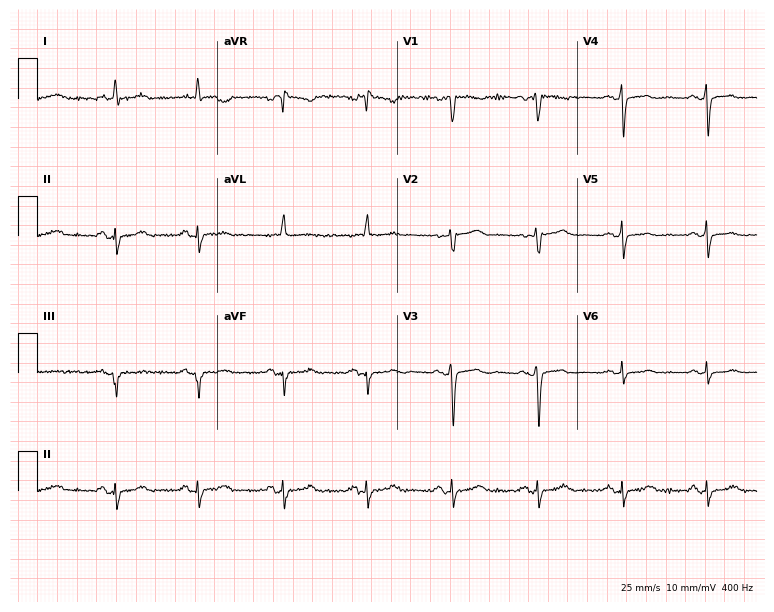
Resting 12-lead electrocardiogram. Patient: a female, 70 years old. None of these six findings is recorded: first-degree AV block, right bundle branch block, left bundle branch block, sinus bradycardia, atrial fibrillation, sinus tachycardia.